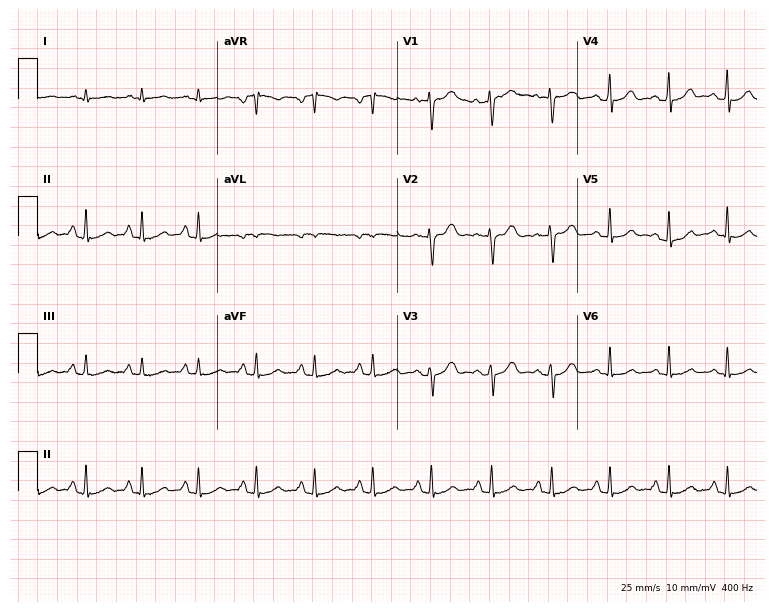
ECG (7.3-second recording at 400 Hz) — a 19-year-old female patient. Findings include sinus tachycardia (a sinus rate of 100 beats per minute or more).